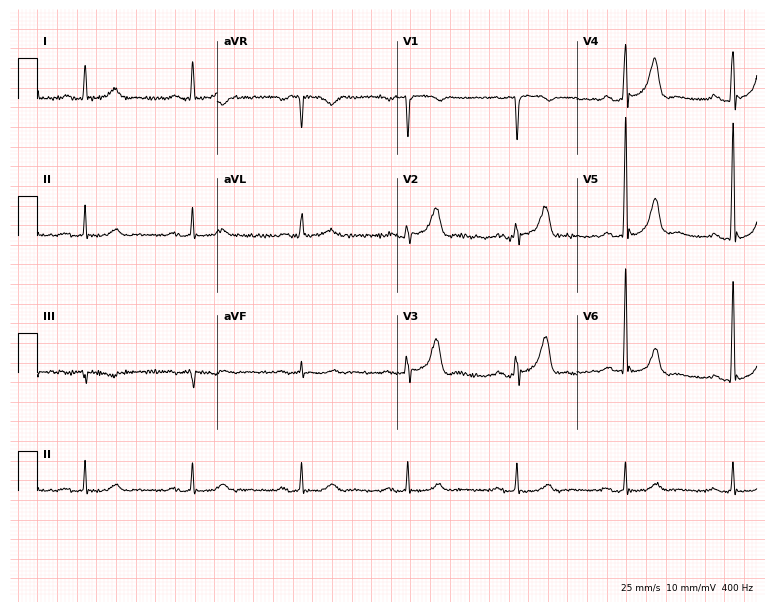
Electrocardiogram (7.3-second recording at 400 Hz), a male patient, 74 years old. Interpretation includes first-degree AV block.